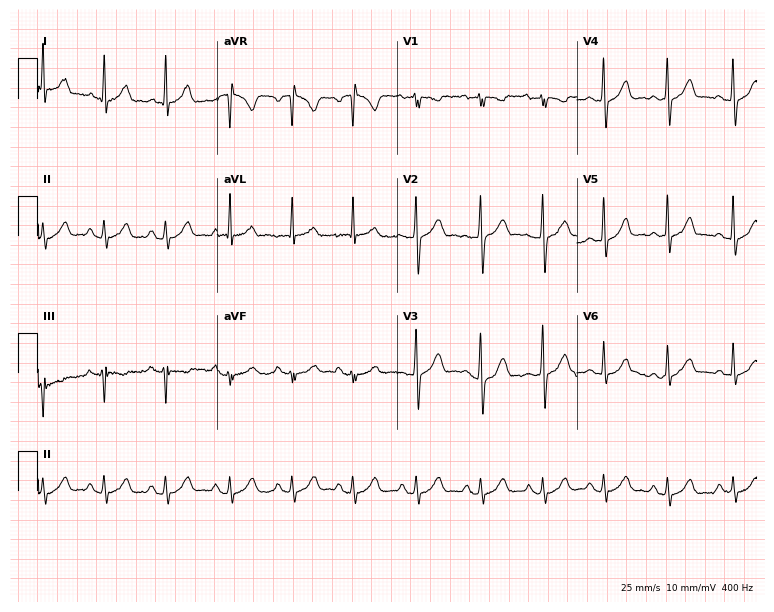
ECG — a 32-year-old woman. Screened for six findings — first-degree AV block, right bundle branch block (RBBB), left bundle branch block (LBBB), sinus bradycardia, atrial fibrillation (AF), sinus tachycardia — none is recorded.